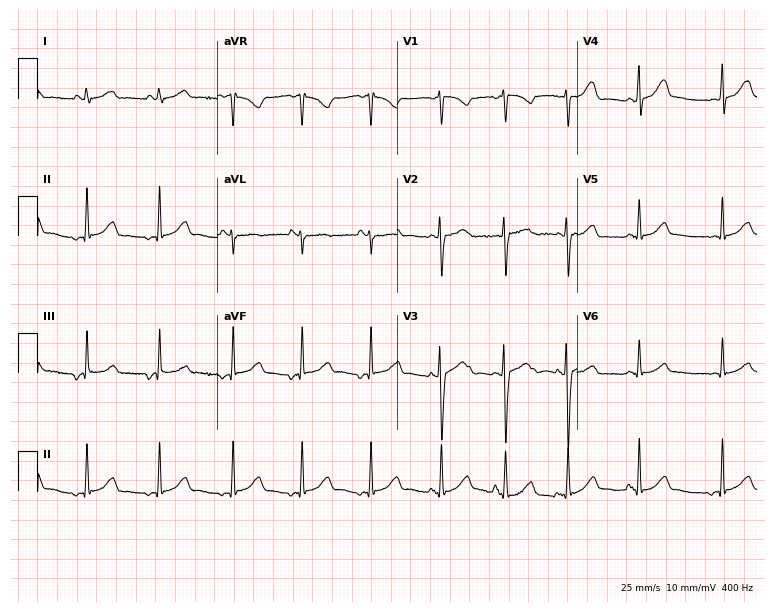
ECG — a 21-year-old female. Screened for six findings — first-degree AV block, right bundle branch block (RBBB), left bundle branch block (LBBB), sinus bradycardia, atrial fibrillation (AF), sinus tachycardia — none is recorded. Only these six findings were labelled.